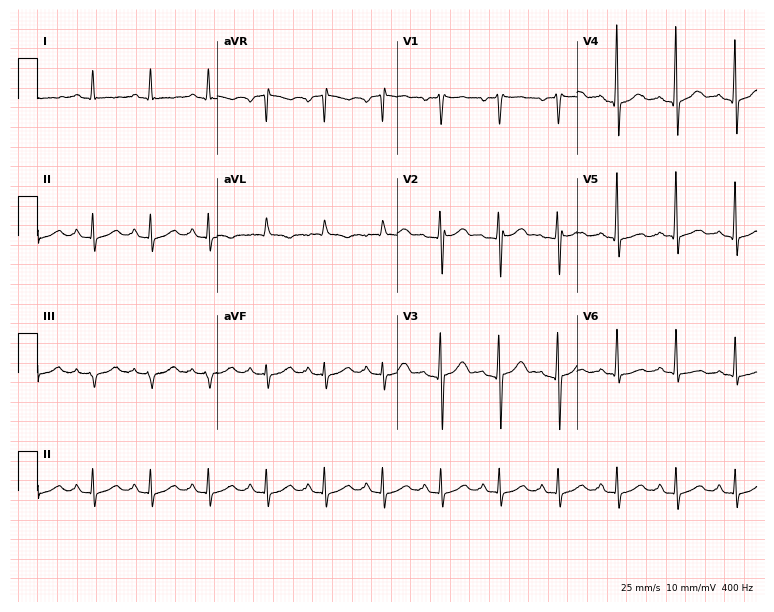
Standard 12-lead ECG recorded from a 65-year-old man. Read as a normal ECG.